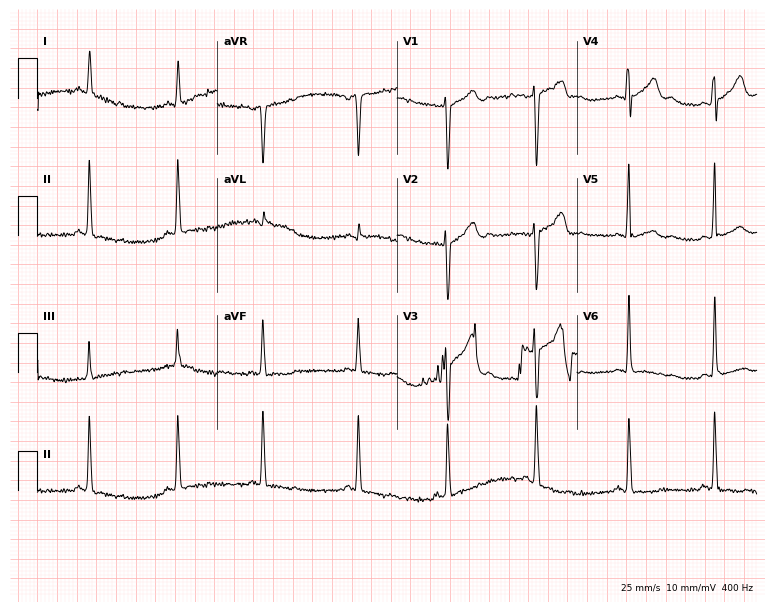
ECG (7.3-second recording at 400 Hz) — a 34-year-old female patient. Screened for six findings — first-degree AV block, right bundle branch block (RBBB), left bundle branch block (LBBB), sinus bradycardia, atrial fibrillation (AF), sinus tachycardia — none is recorded. Only these six findings were labelled.